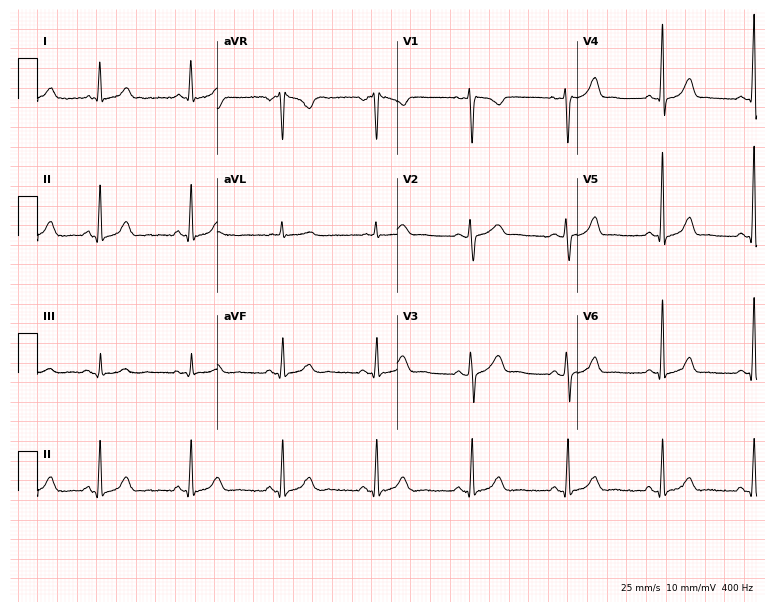
Resting 12-lead electrocardiogram. Patient: a female, 41 years old. Read as a normal ECG.